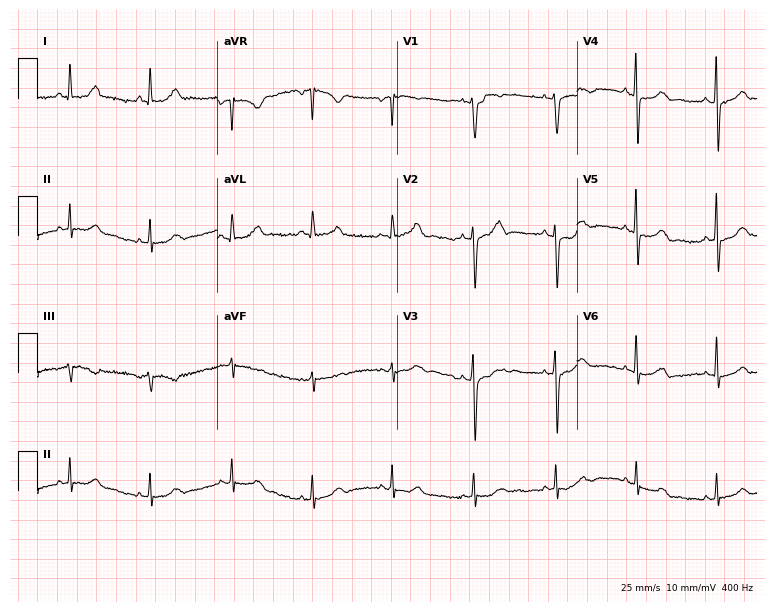
Resting 12-lead electrocardiogram. Patient: a female, 62 years old. Read as a normal ECG.